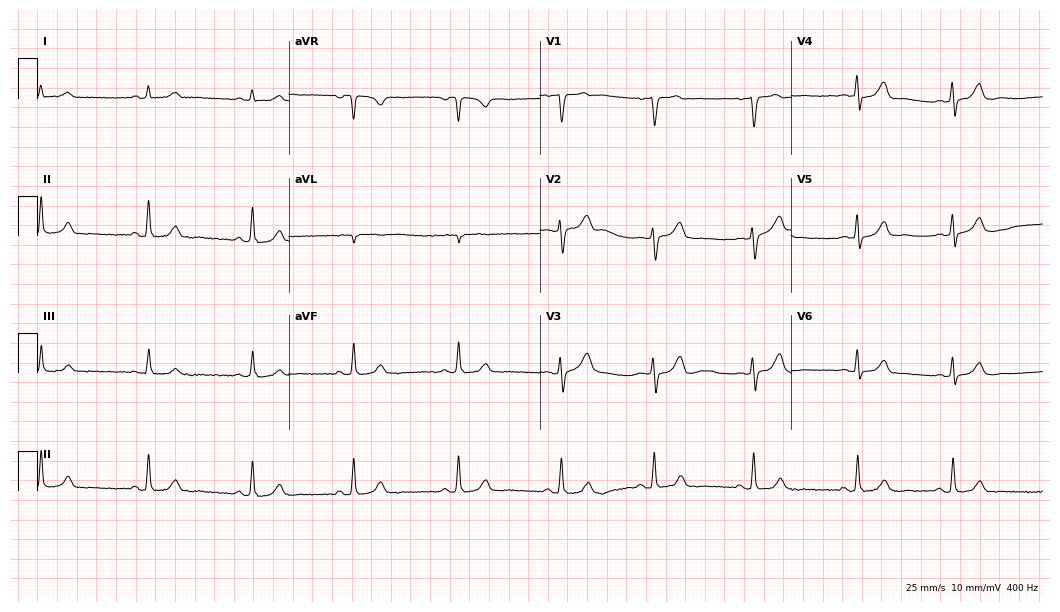
12-lead ECG from a 33-year-old woman. Labelled as a normal ECG.